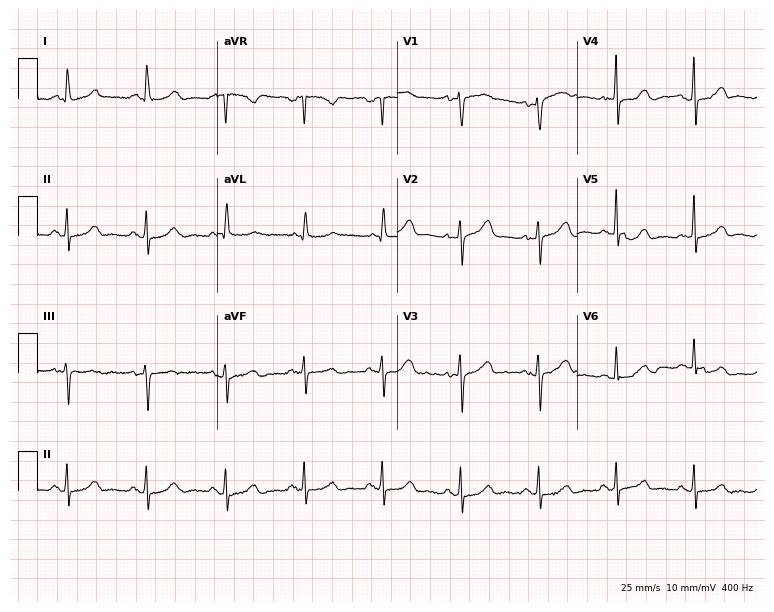
Electrocardiogram, a 66-year-old woman. Overall reading on record: normal ECG.